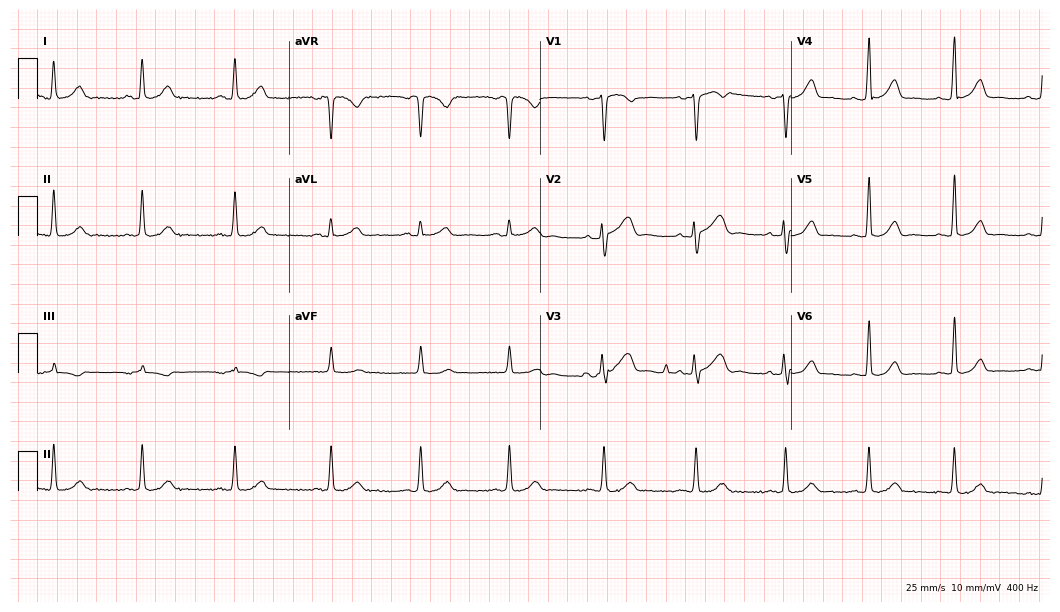
Standard 12-lead ECG recorded from a 51-year-old woman (10.2-second recording at 400 Hz). Read as a normal ECG.